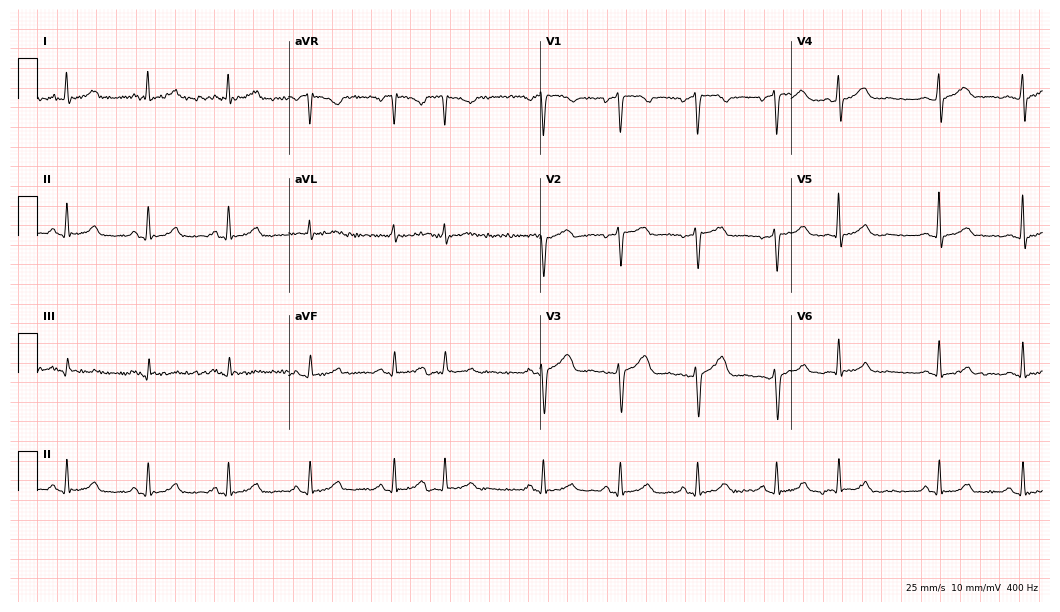
12-lead ECG from a 43-year-old female patient (10.2-second recording at 400 Hz). Recorded interpretation: within normal limits.